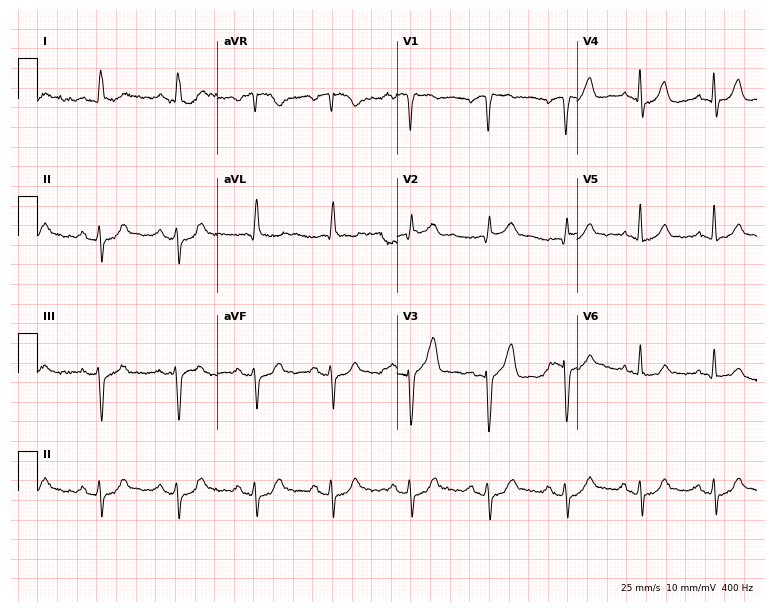
12-lead ECG from a 23-year-old man (7.3-second recording at 400 Hz). No first-degree AV block, right bundle branch block, left bundle branch block, sinus bradycardia, atrial fibrillation or sinus tachycardia recorded for this tracing. Findings outside these six are not listed.